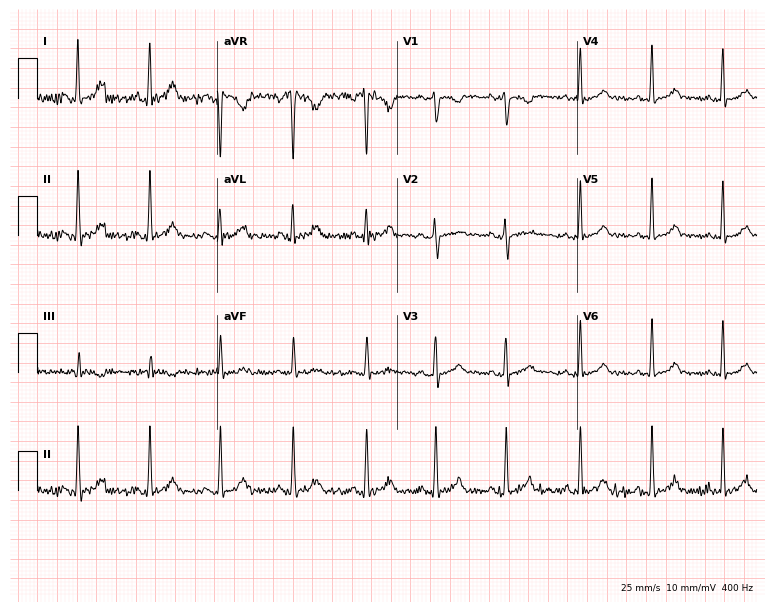
Resting 12-lead electrocardiogram. Patient: a 23-year-old female. Read as a normal ECG.